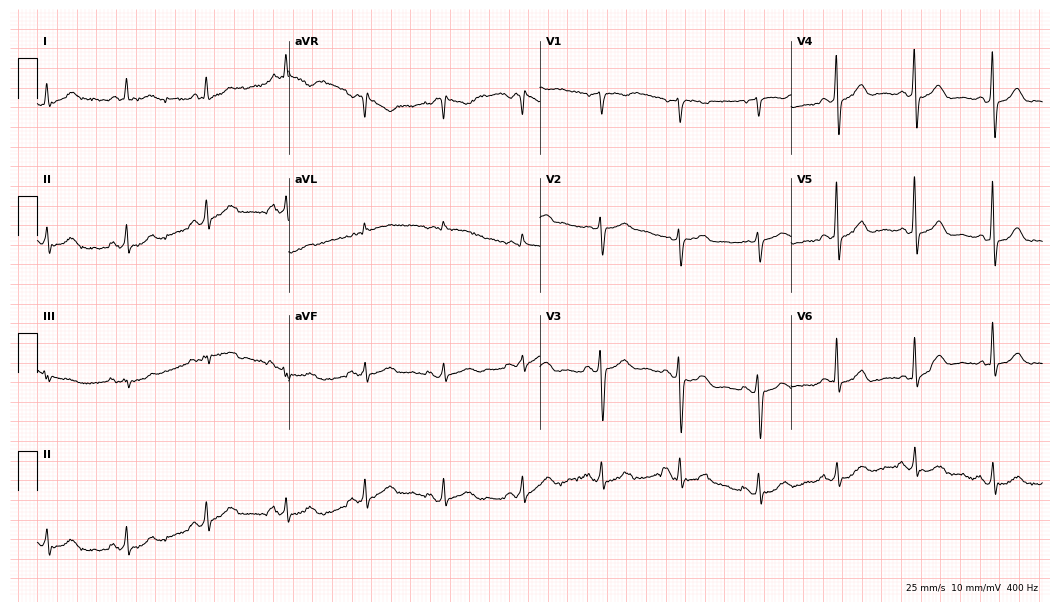
12-lead ECG from an 80-year-old male patient. Labelled as a normal ECG.